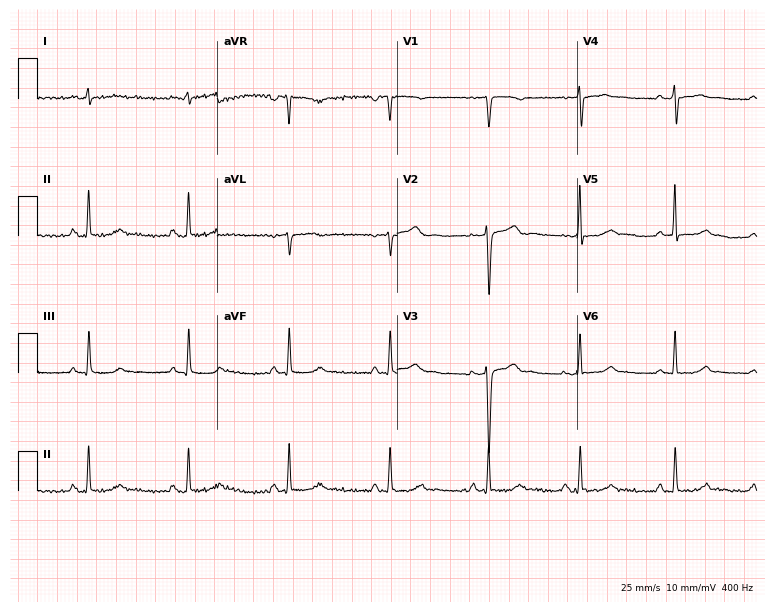
12-lead ECG (7.3-second recording at 400 Hz) from a 36-year-old female. Labelled as a normal ECG.